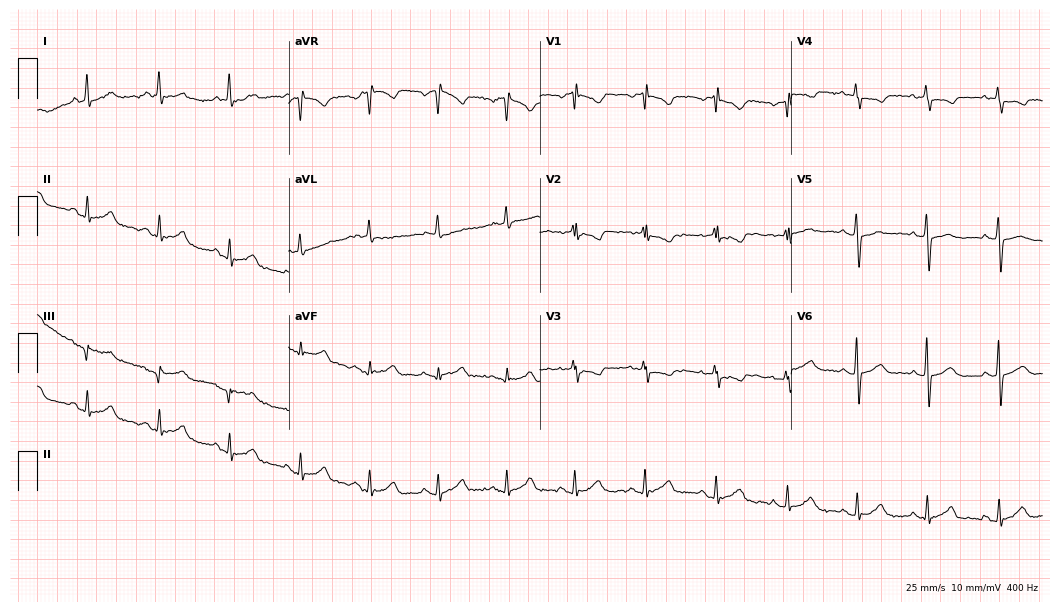
Resting 12-lead electrocardiogram. Patient: a 78-year-old woman. None of these six findings is recorded: first-degree AV block, right bundle branch block, left bundle branch block, sinus bradycardia, atrial fibrillation, sinus tachycardia. Findings outside these six are not listed.